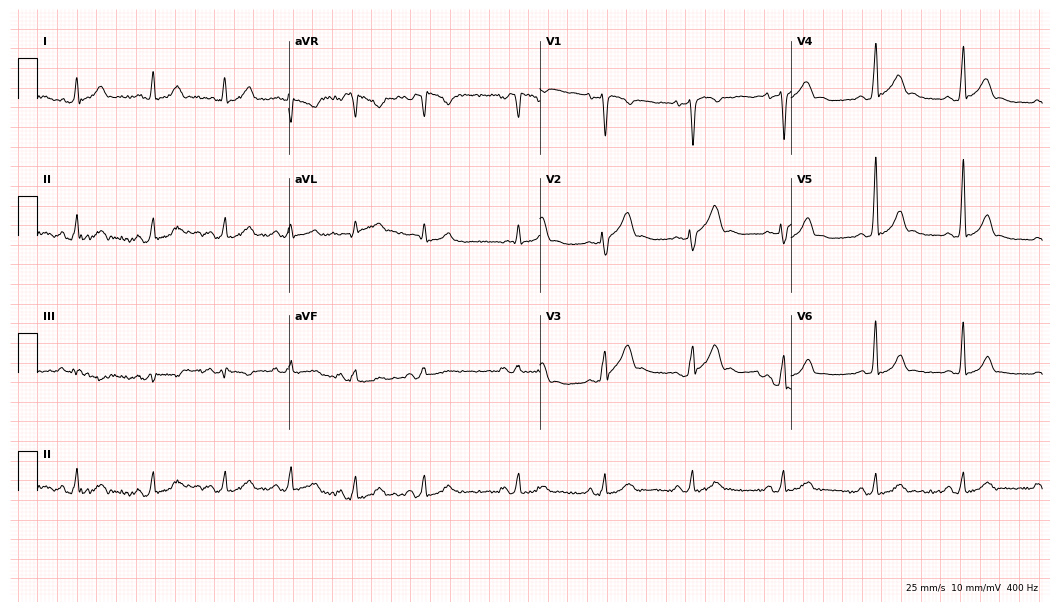
12-lead ECG from a male, 20 years old. Labelled as a normal ECG.